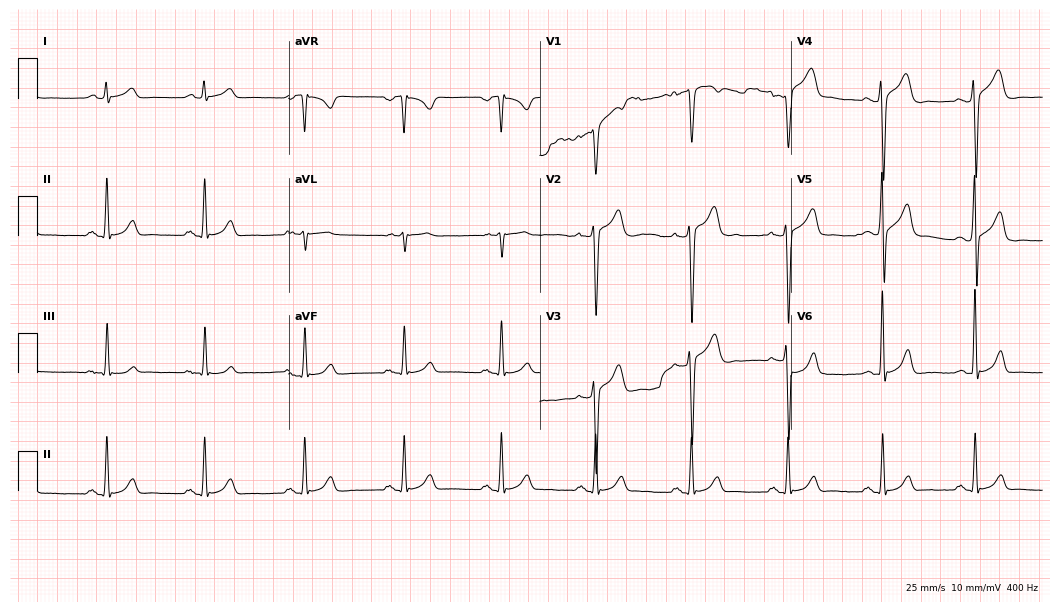
Standard 12-lead ECG recorded from a 58-year-old man. Read as a normal ECG.